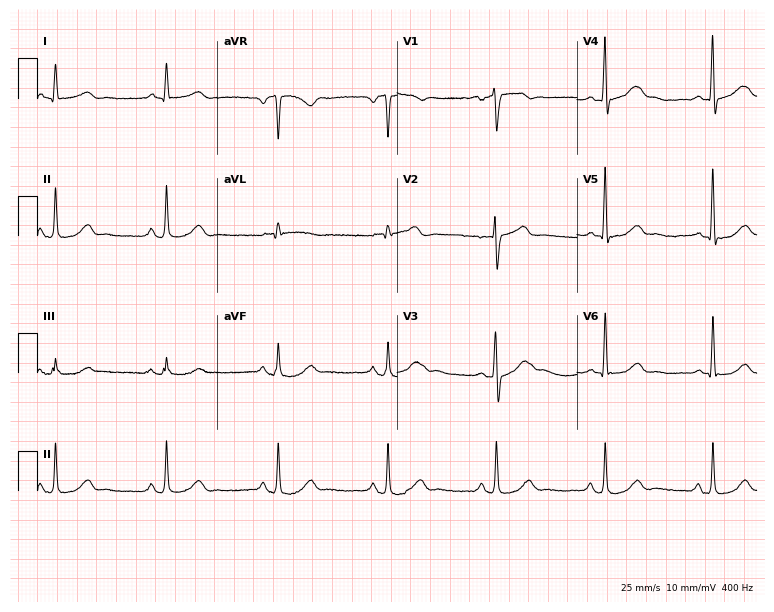
12-lead ECG (7.3-second recording at 400 Hz) from a 59-year-old male. Screened for six findings — first-degree AV block, right bundle branch block, left bundle branch block, sinus bradycardia, atrial fibrillation, sinus tachycardia — none is recorded.